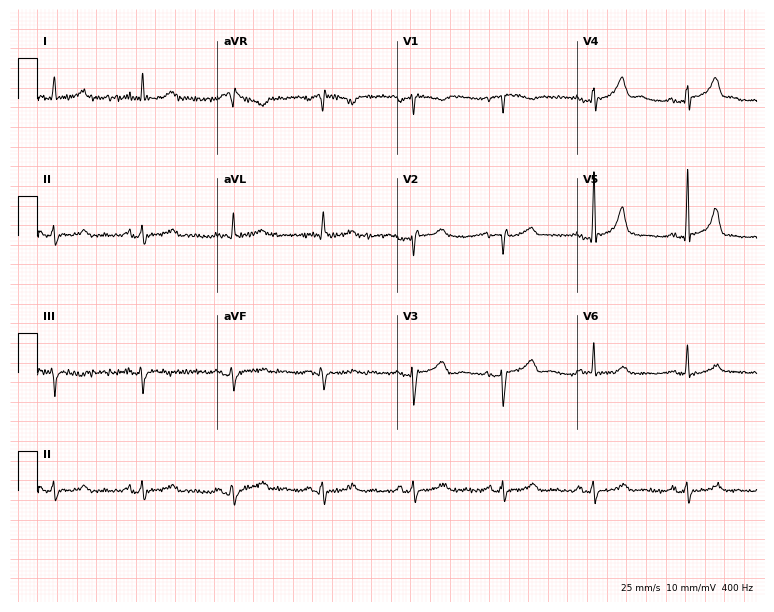
12-lead ECG (7.3-second recording at 400 Hz) from an 84-year-old male. Screened for six findings — first-degree AV block, right bundle branch block (RBBB), left bundle branch block (LBBB), sinus bradycardia, atrial fibrillation (AF), sinus tachycardia — none is recorded.